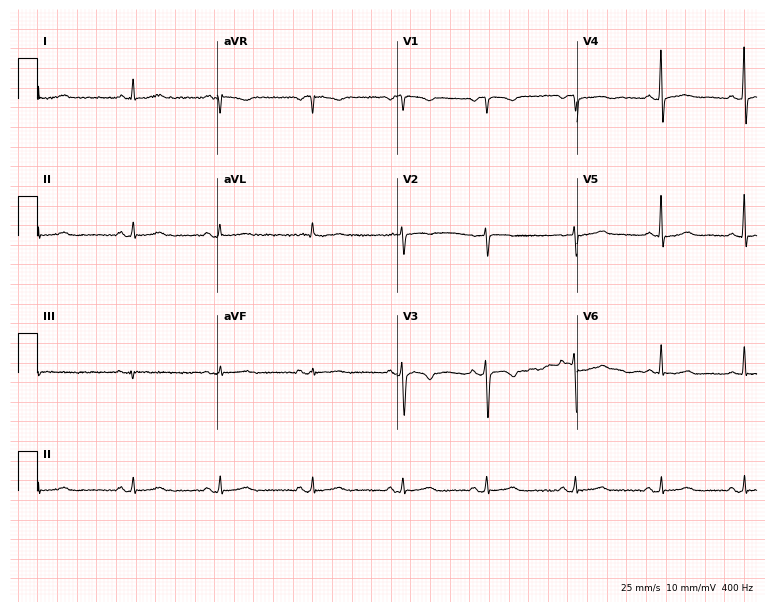
Resting 12-lead electrocardiogram. Patient: a 41-year-old woman. None of these six findings is recorded: first-degree AV block, right bundle branch block, left bundle branch block, sinus bradycardia, atrial fibrillation, sinus tachycardia.